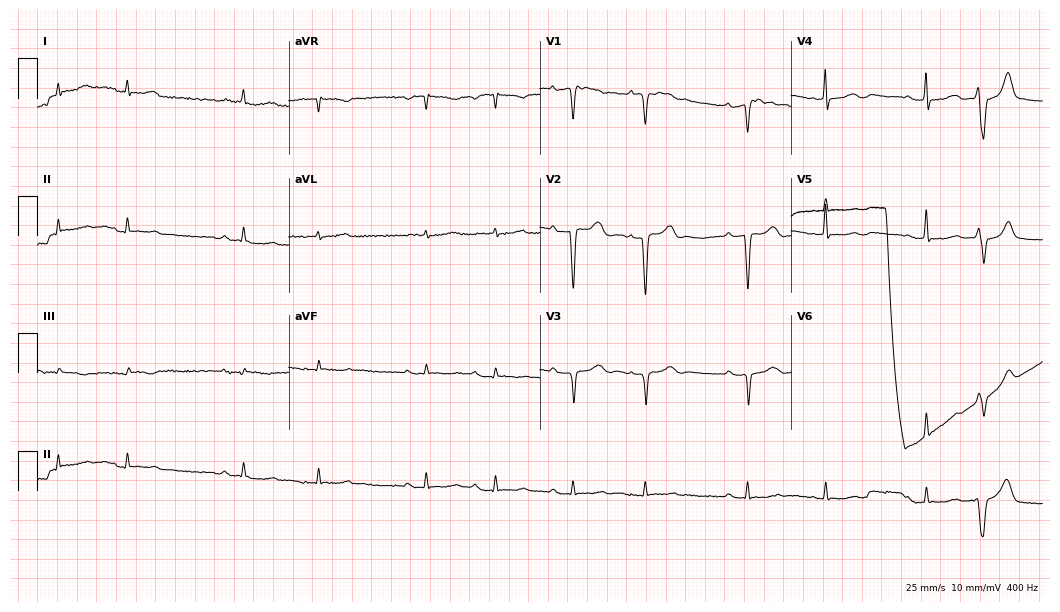
12-lead ECG from a female, 82 years old. Labelled as a normal ECG.